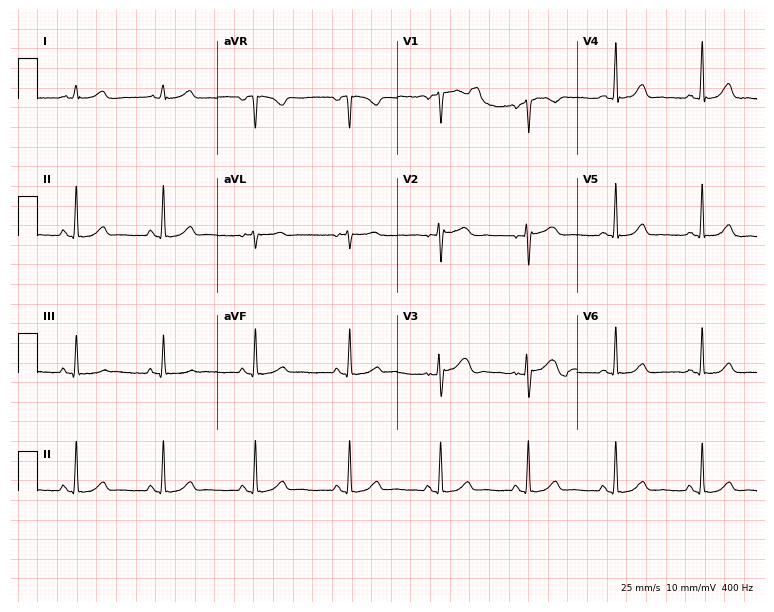
Electrocardiogram, a female patient, 53 years old. Of the six screened findings (first-degree AV block, right bundle branch block (RBBB), left bundle branch block (LBBB), sinus bradycardia, atrial fibrillation (AF), sinus tachycardia), none is recorded. Other findings, if any, are not listed.